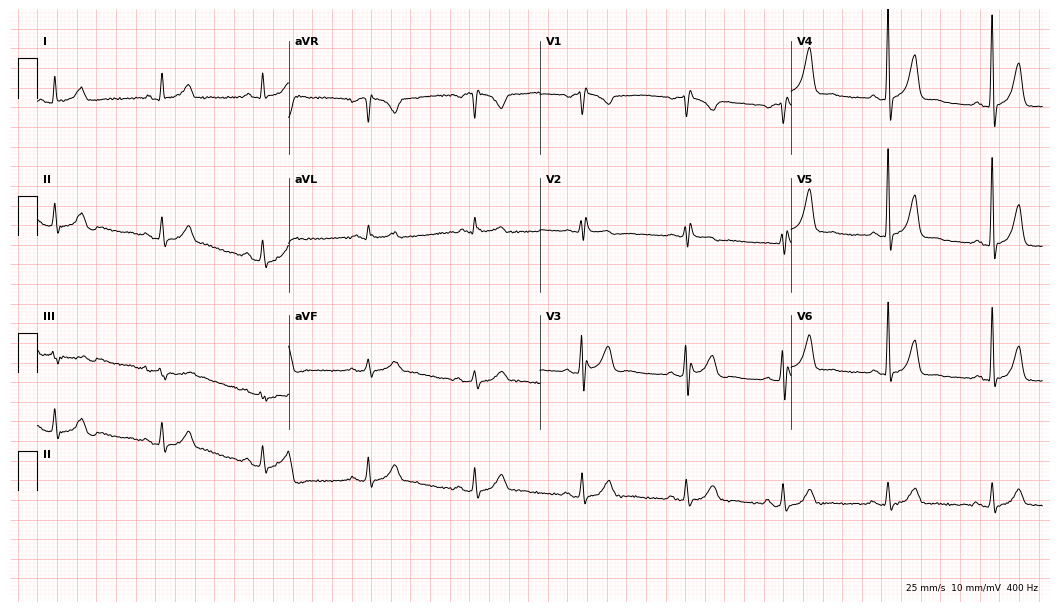
Resting 12-lead electrocardiogram (10.2-second recording at 400 Hz). Patient: a woman, 59 years old. None of these six findings is recorded: first-degree AV block, right bundle branch block, left bundle branch block, sinus bradycardia, atrial fibrillation, sinus tachycardia. Findings outside these six are not listed.